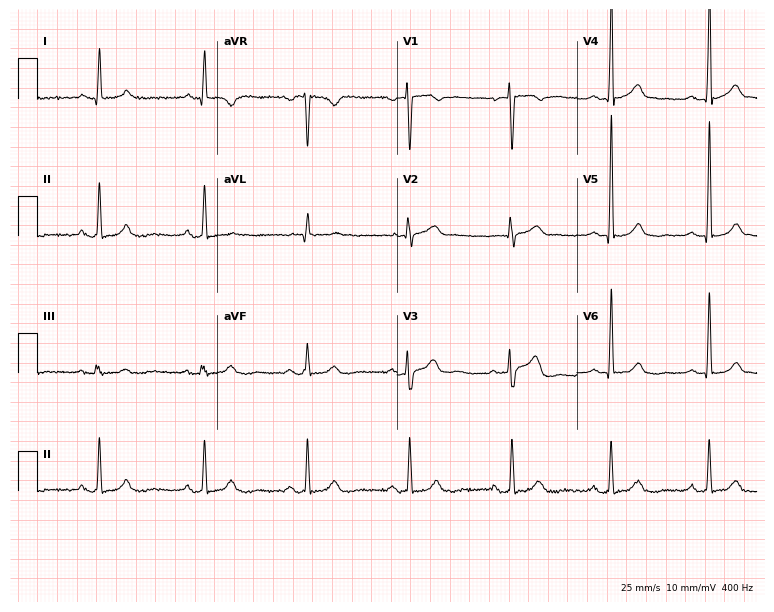
12-lead ECG from a female, 64 years old. Screened for six findings — first-degree AV block, right bundle branch block, left bundle branch block, sinus bradycardia, atrial fibrillation, sinus tachycardia — none is recorded.